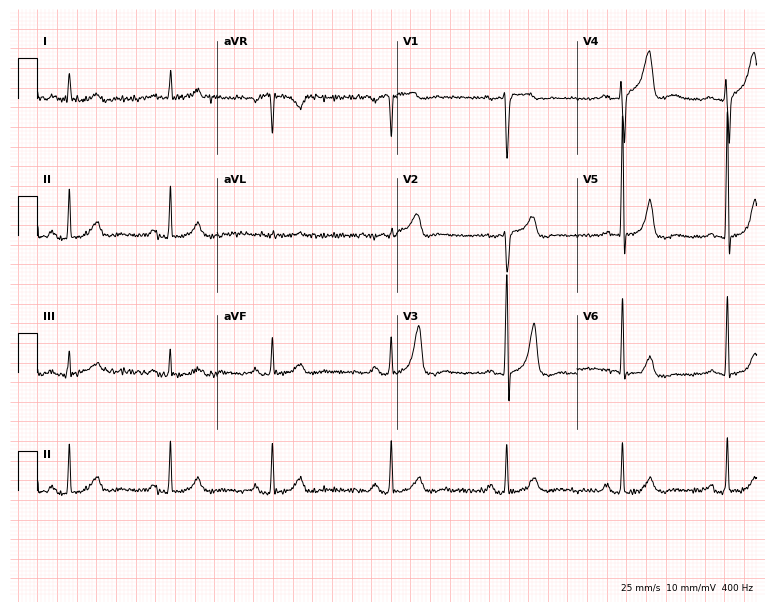
Standard 12-lead ECG recorded from a male patient, 60 years old. Read as a normal ECG.